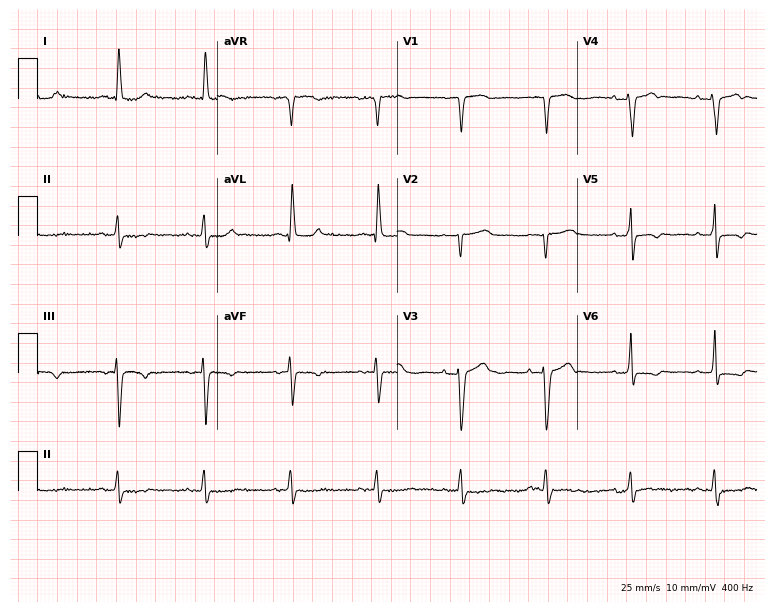
ECG (7.3-second recording at 400 Hz) — a 43-year-old female. Screened for six findings — first-degree AV block, right bundle branch block, left bundle branch block, sinus bradycardia, atrial fibrillation, sinus tachycardia — none is recorded. Findings outside these six are not listed.